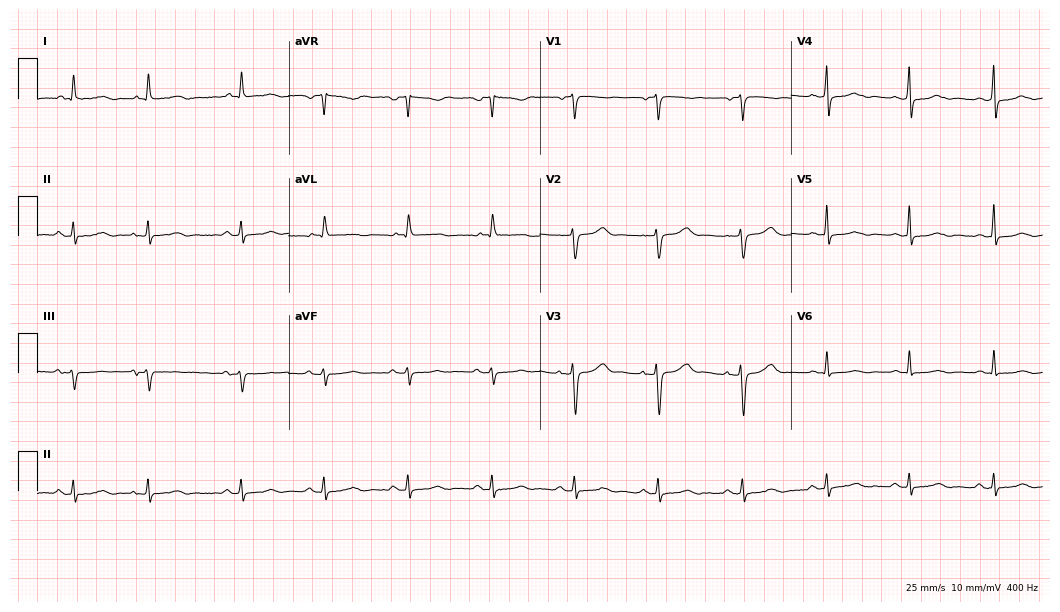
Standard 12-lead ECG recorded from a woman, 85 years old (10.2-second recording at 400 Hz). None of these six findings is recorded: first-degree AV block, right bundle branch block (RBBB), left bundle branch block (LBBB), sinus bradycardia, atrial fibrillation (AF), sinus tachycardia.